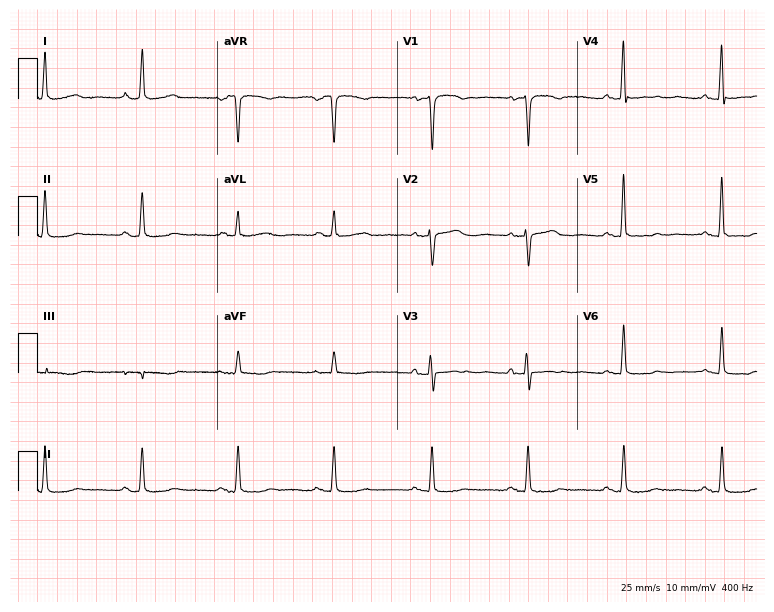
12-lead ECG from a female, 80 years old. No first-degree AV block, right bundle branch block (RBBB), left bundle branch block (LBBB), sinus bradycardia, atrial fibrillation (AF) or sinus tachycardia recorded for this tracing. Other findings, if any, are not listed.